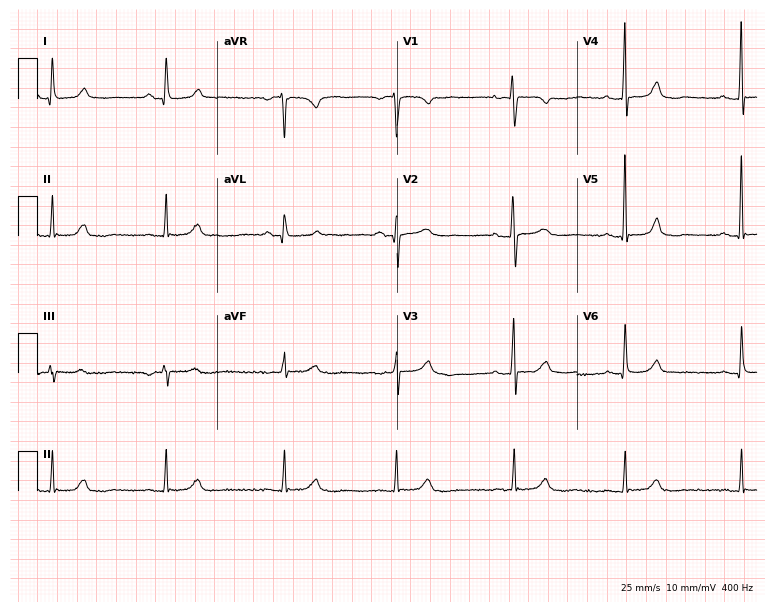
12-lead ECG from a woman, 64 years old. Recorded interpretation: within normal limits.